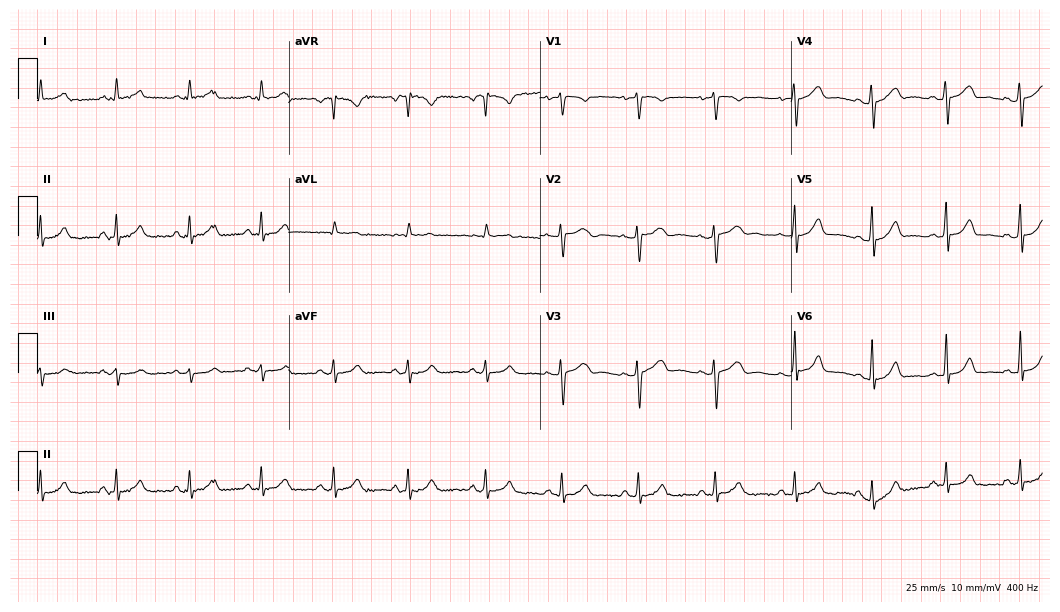
ECG (10.2-second recording at 400 Hz) — a 25-year-old female. Labelled as a normal ECG.